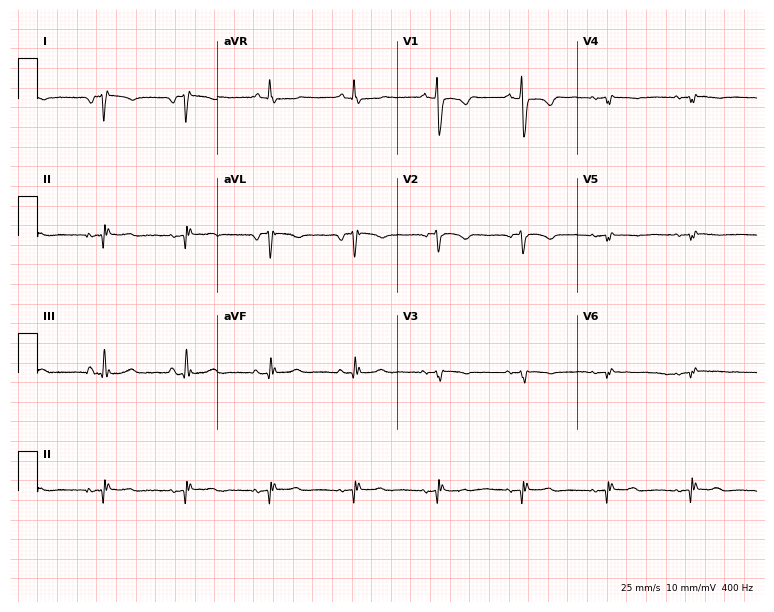
12-lead ECG from a woman, 67 years old. Screened for six findings — first-degree AV block, right bundle branch block, left bundle branch block, sinus bradycardia, atrial fibrillation, sinus tachycardia — none is recorded.